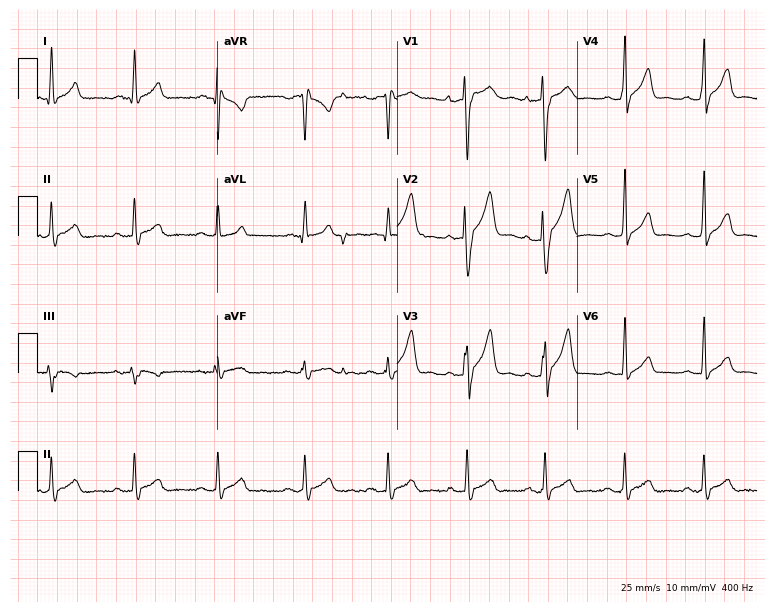
Standard 12-lead ECG recorded from a 31-year-old man (7.3-second recording at 400 Hz). None of these six findings is recorded: first-degree AV block, right bundle branch block (RBBB), left bundle branch block (LBBB), sinus bradycardia, atrial fibrillation (AF), sinus tachycardia.